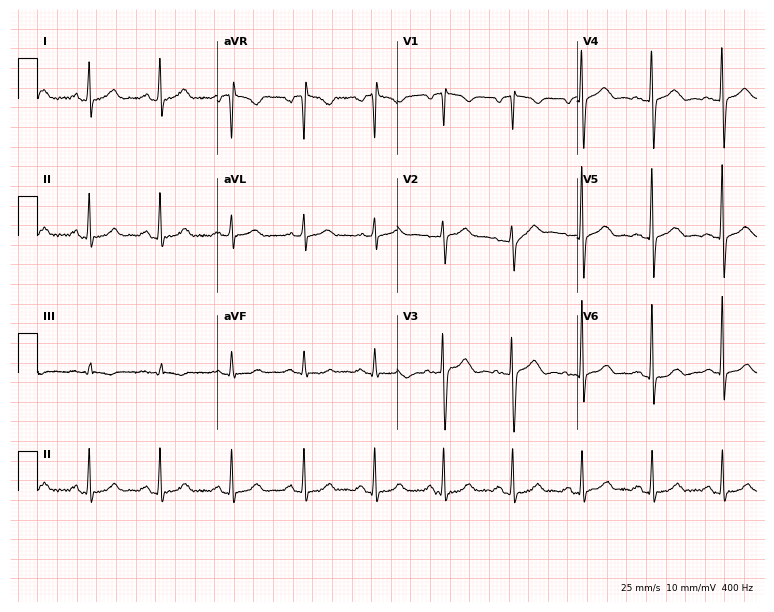
Electrocardiogram, a 43-year-old female patient. Overall reading on record: normal ECG.